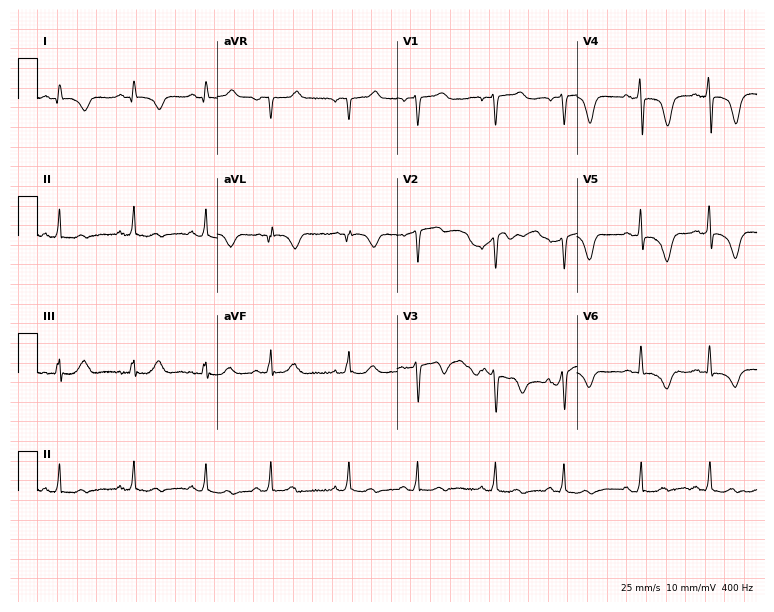
Standard 12-lead ECG recorded from a 71-year-old female (7.3-second recording at 400 Hz). None of these six findings is recorded: first-degree AV block, right bundle branch block, left bundle branch block, sinus bradycardia, atrial fibrillation, sinus tachycardia.